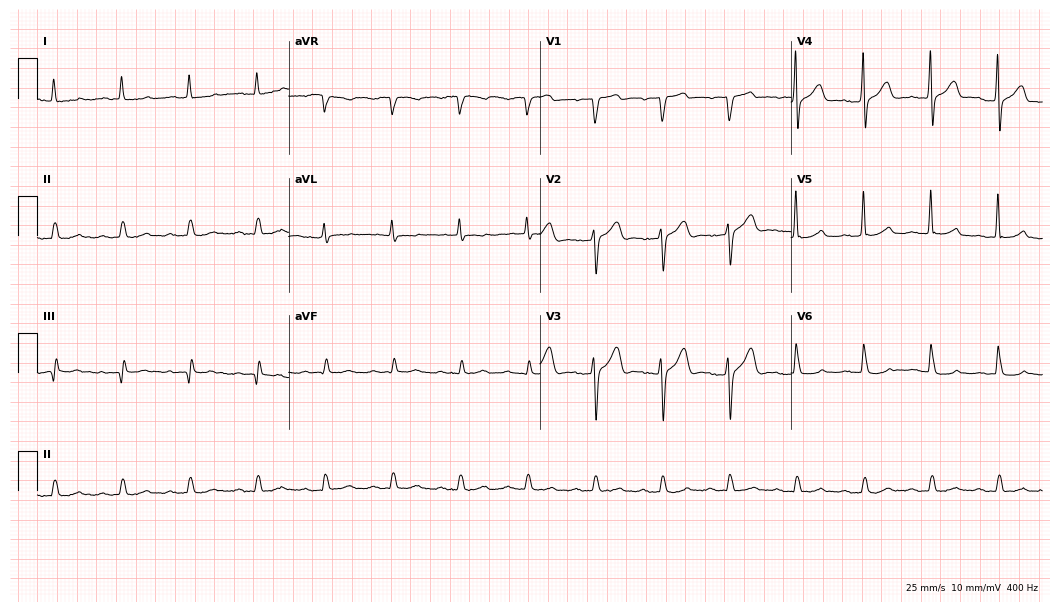
Resting 12-lead electrocardiogram. Patient: an 85-year-old male. Read as a normal ECG.